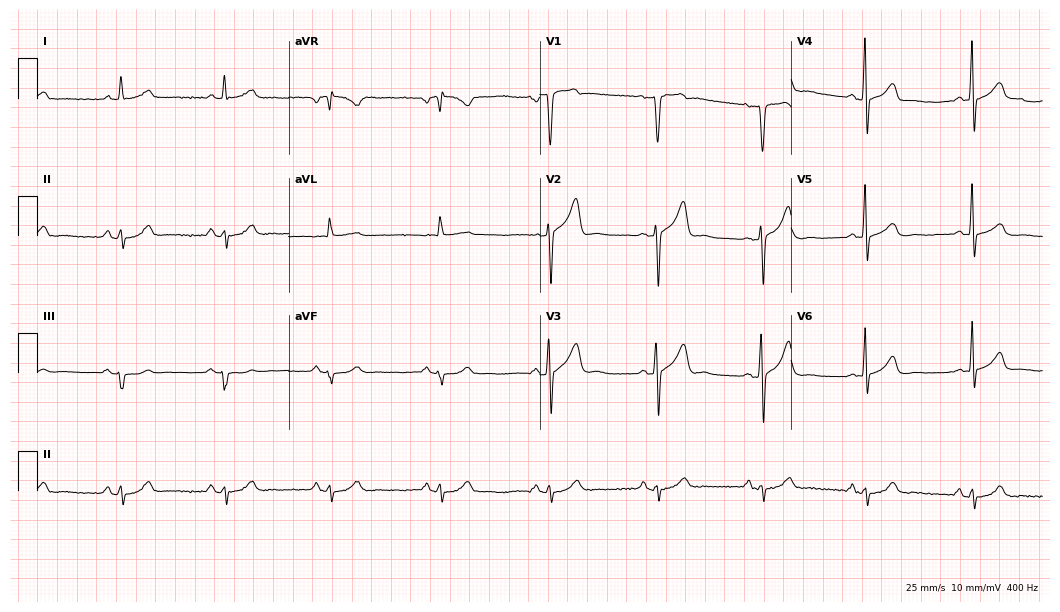
Electrocardiogram, a male patient, 58 years old. Overall reading on record: normal ECG.